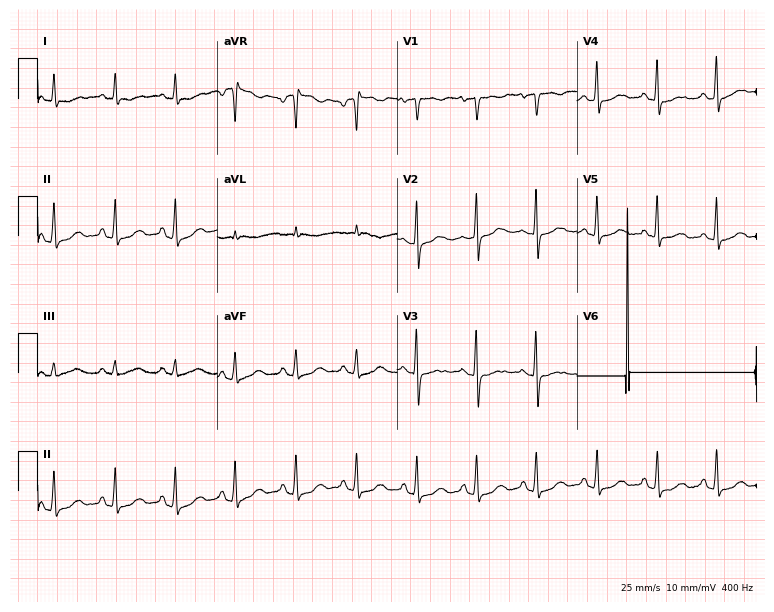
ECG — a woman, 52 years old. Screened for six findings — first-degree AV block, right bundle branch block (RBBB), left bundle branch block (LBBB), sinus bradycardia, atrial fibrillation (AF), sinus tachycardia — none is recorded.